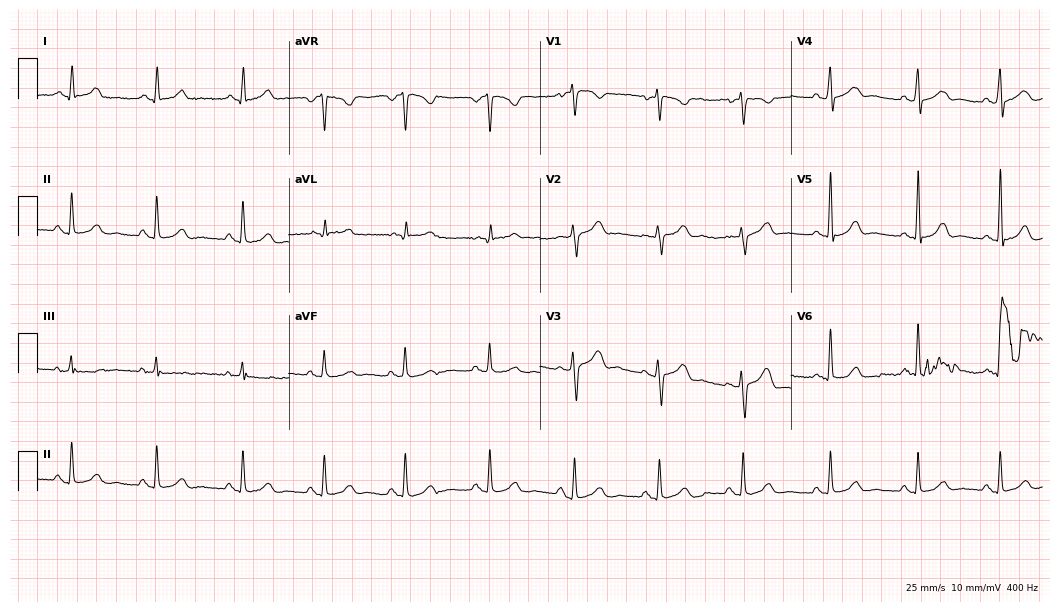
Electrocardiogram, a 31-year-old female. Of the six screened findings (first-degree AV block, right bundle branch block (RBBB), left bundle branch block (LBBB), sinus bradycardia, atrial fibrillation (AF), sinus tachycardia), none is recorded.